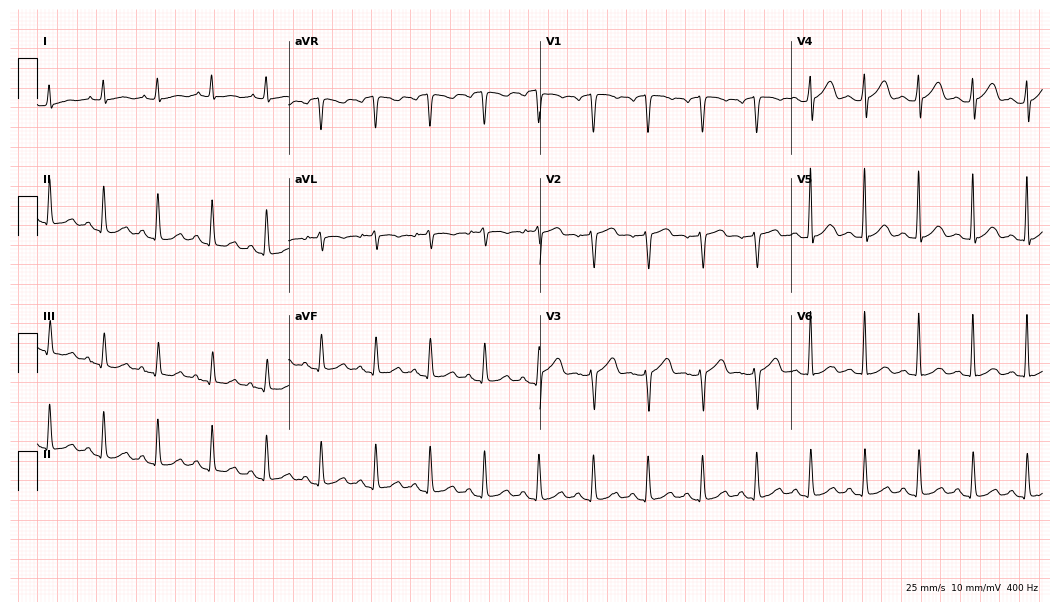
12-lead ECG from a 58-year-old female. Shows sinus tachycardia (a sinus rate of 100 beats per minute or more).